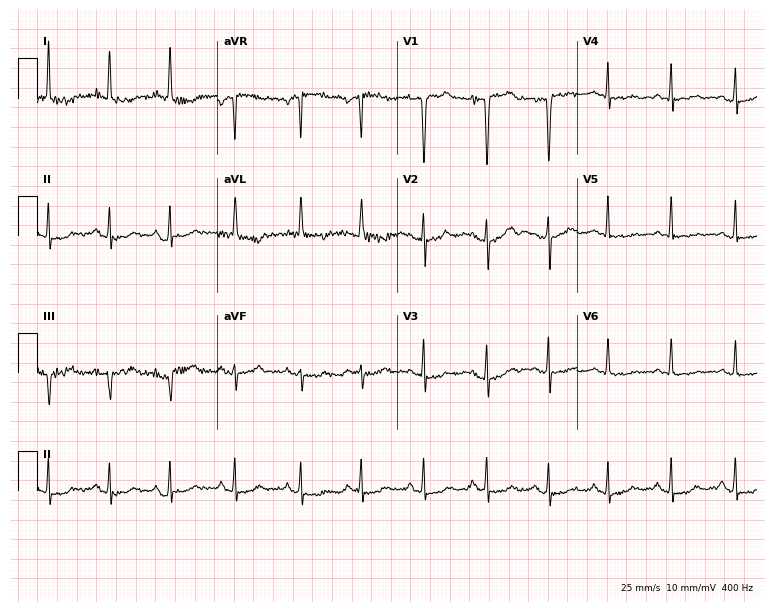
12-lead ECG (7.3-second recording at 400 Hz) from a female patient, 57 years old. Screened for six findings — first-degree AV block, right bundle branch block, left bundle branch block, sinus bradycardia, atrial fibrillation, sinus tachycardia — none is recorded. Other findings, if any, are not listed.